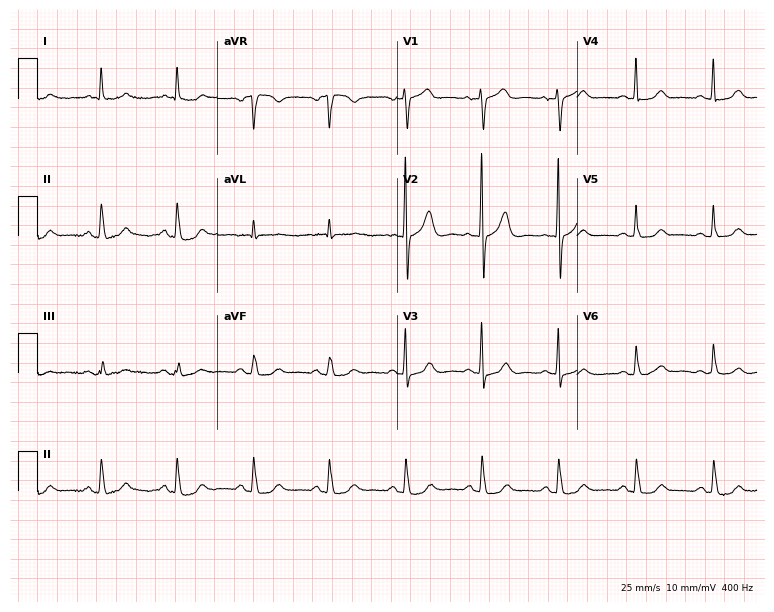
Standard 12-lead ECG recorded from a woman, 77 years old (7.3-second recording at 400 Hz). Read as a normal ECG.